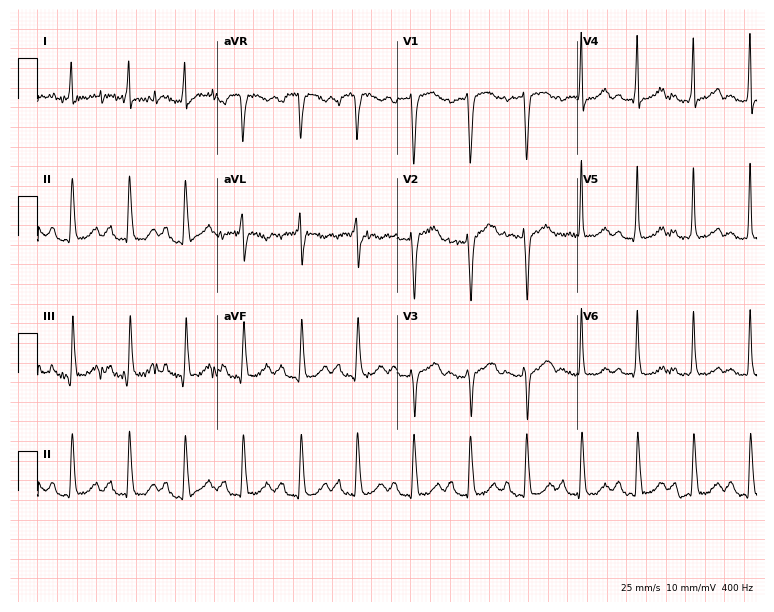
Resting 12-lead electrocardiogram (7.3-second recording at 400 Hz). Patient: a 55-year-old female. The tracing shows first-degree AV block.